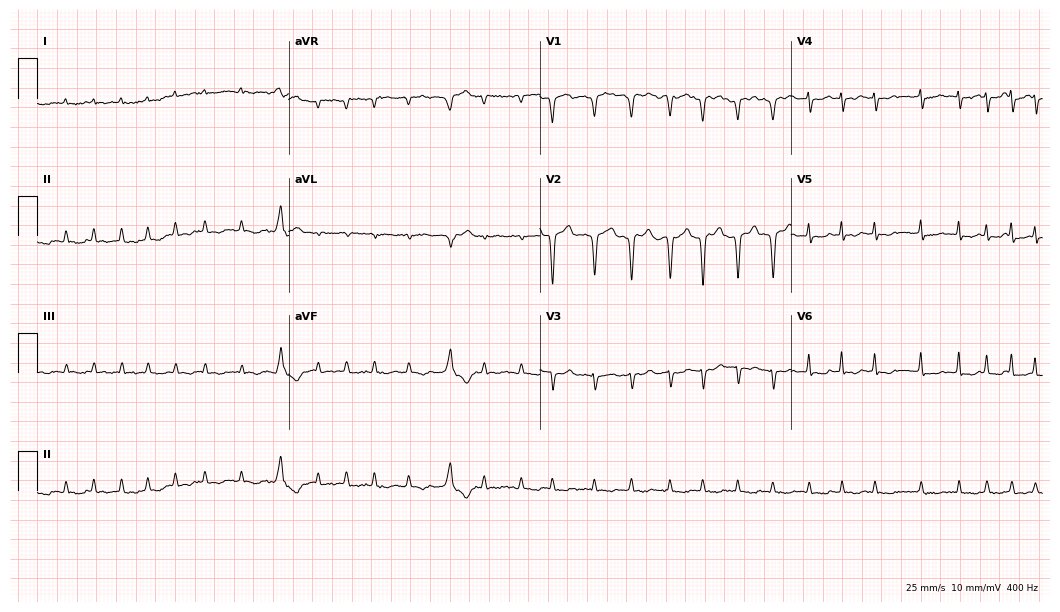
Electrocardiogram (10.2-second recording at 400 Hz), a male, 82 years old. Interpretation includes atrial fibrillation.